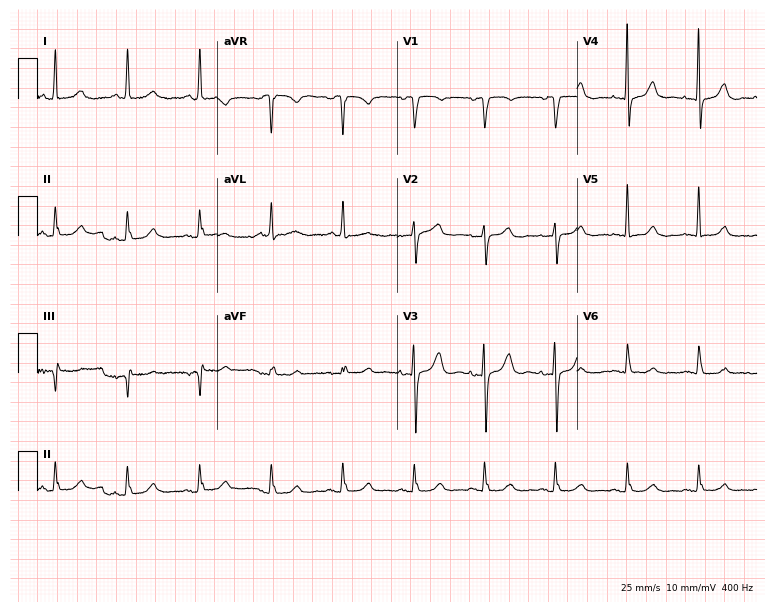
12-lead ECG from a 75-year-old female. Labelled as a normal ECG.